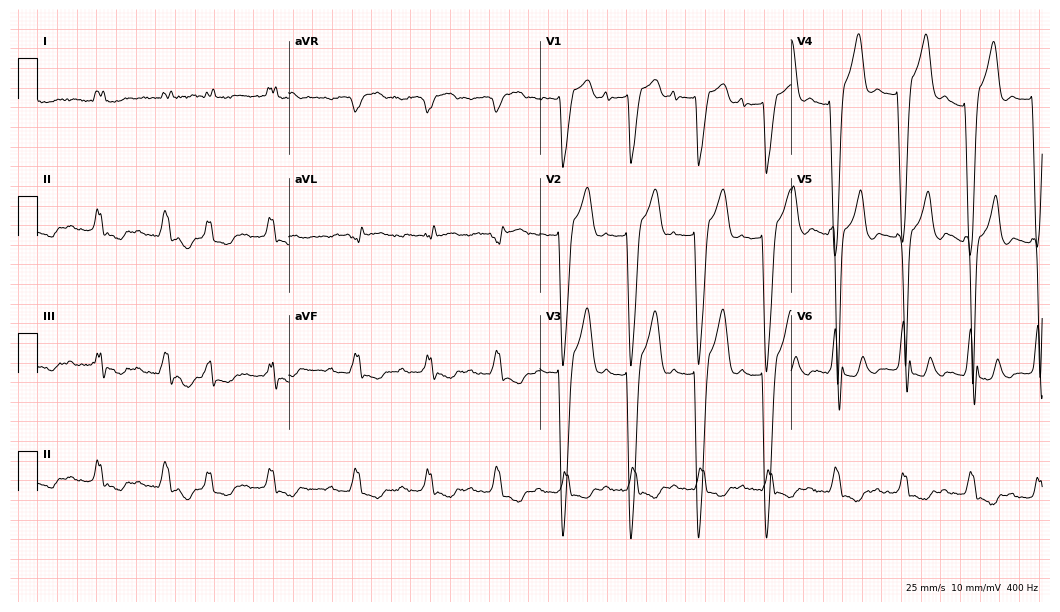
12-lead ECG from an 85-year-old female patient (10.2-second recording at 400 Hz). Shows first-degree AV block, left bundle branch block (LBBB).